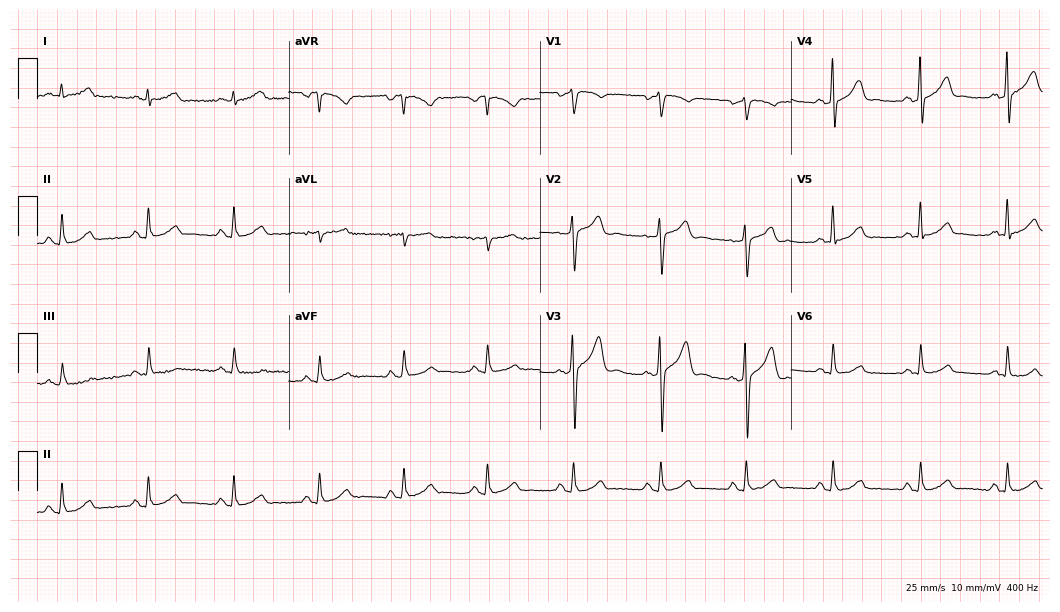
12-lead ECG from a 45-year-old male patient (10.2-second recording at 400 Hz). Recorded interpretation: within normal limits.